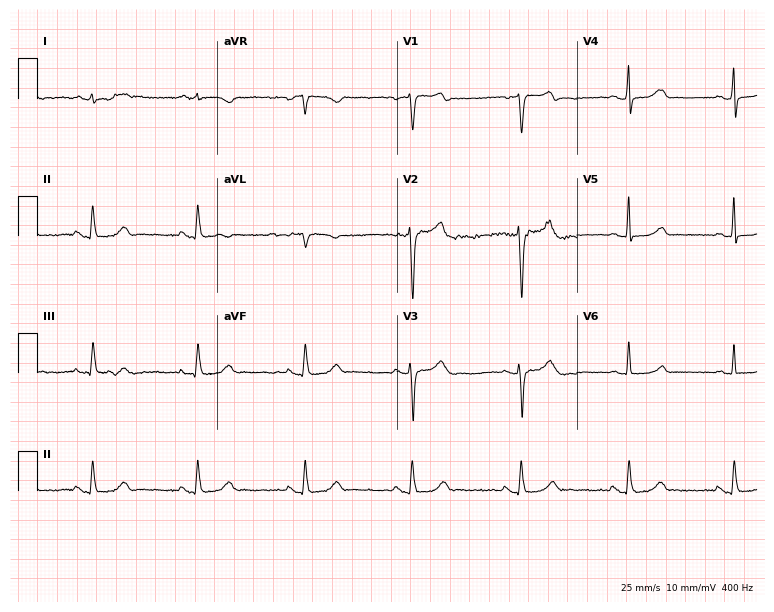
ECG (7.3-second recording at 400 Hz) — a man, 72 years old. Screened for six findings — first-degree AV block, right bundle branch block (RBBB), left bundle branch block (LBBB), sinus bradycardia, atrial fibrillation (AF), sinus tachycardia — none is recorded.